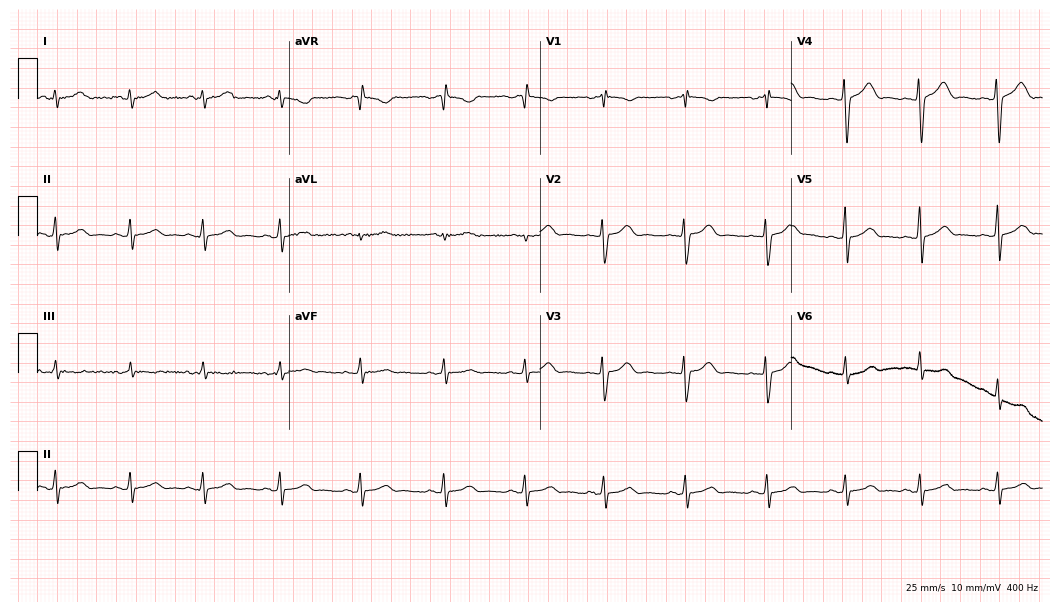
Resting 12-lead electrocardiogram. Patient: a 19-year-old female. Read as a normal ECG.